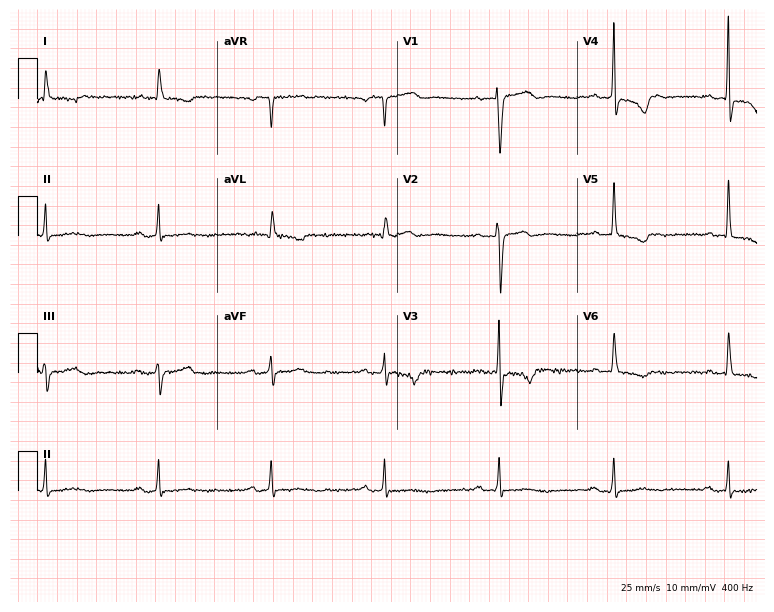
12-lead ECG from an 86-year-old male. Findings include first-degree AV block.